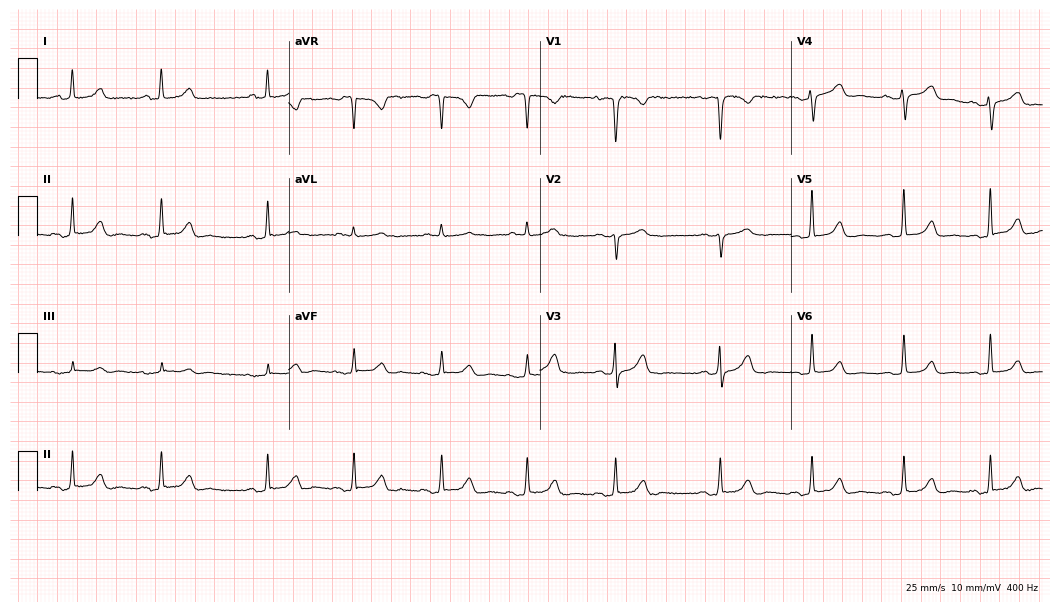
12-lead ECG from a 43-year-old woman (10.2-second recording at 400 Hz). No first-degree AV block, right bundle branch block, left bundle branch block, sinus bradycardia, atrial fibrillation or sinus tachycardia recorded for this tracing. Findings outside these six are not listed.